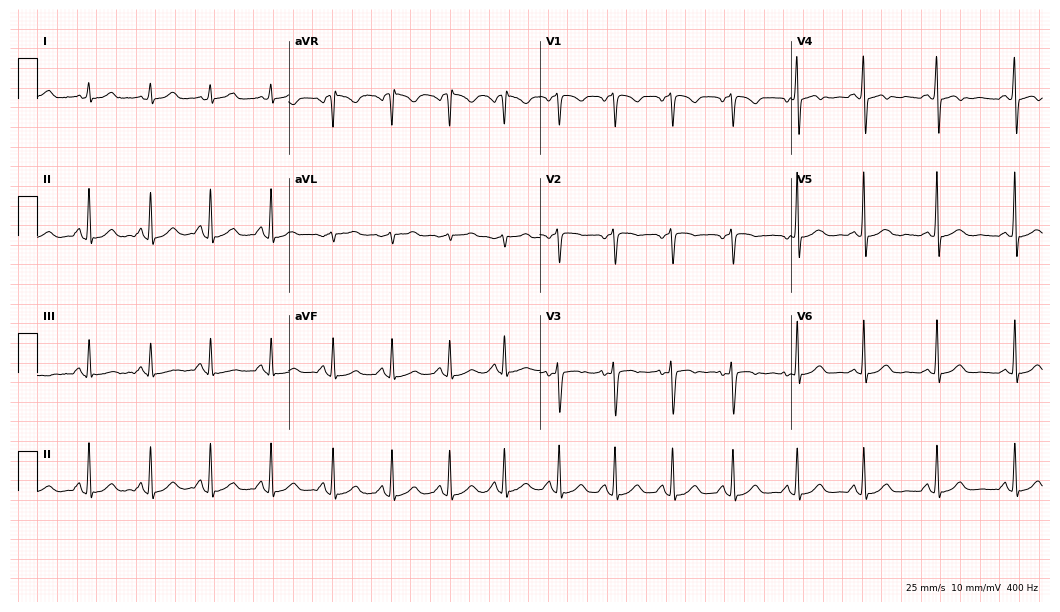
ECG (10.2-second recording at 400 Hz) — a 30-year-old woman. Screened for six findings — first-degree AV block, right bundle branch block, left bundle branch block, sinus bradycardia, atrial fibrillation, sinus tachycardia — none is recorded.